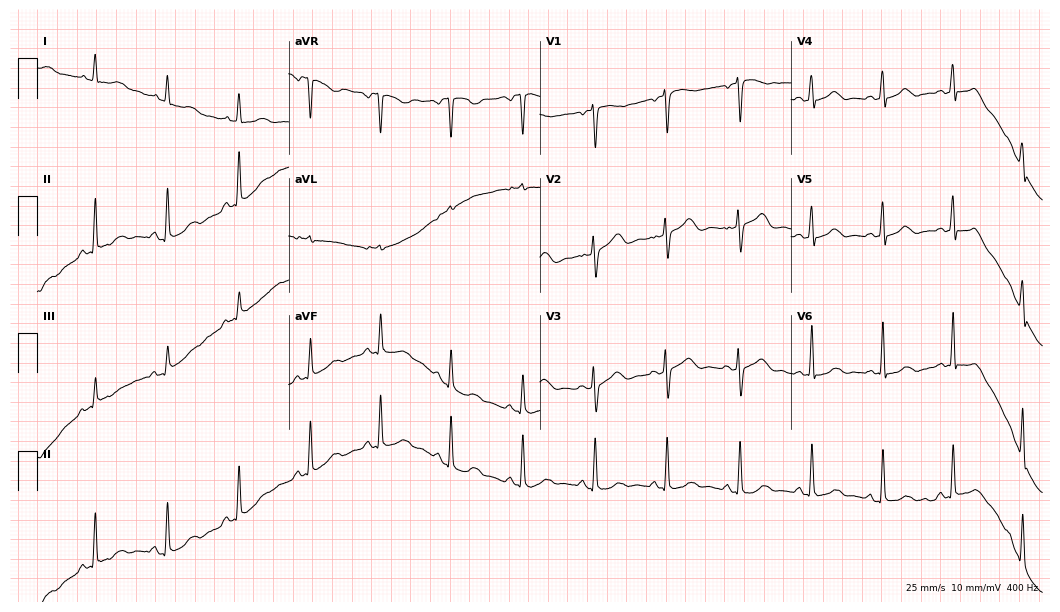
Electrocardiogram, a 58-year-old female. Overall reading on record: normal ECG.